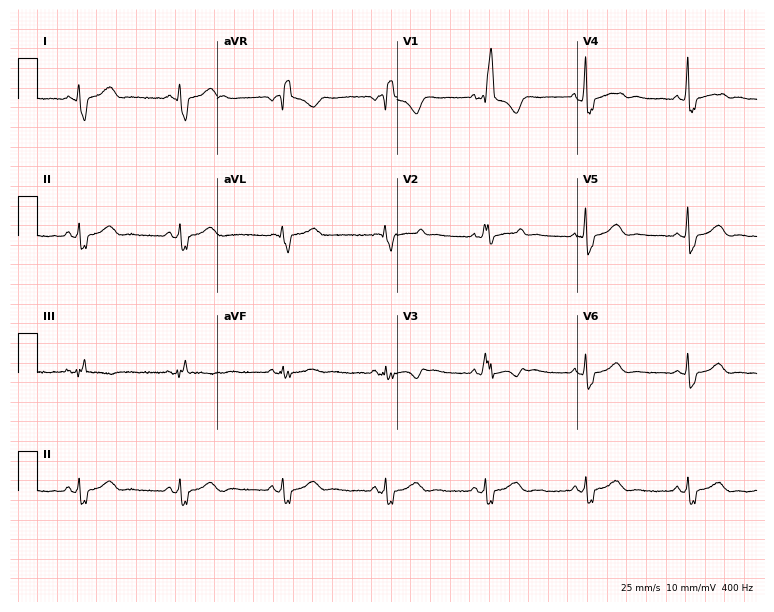
Electrocardiogram (7.3-second recording at 400 Hz), a woman, 62 years old. Interpretation includes right bundle branch block.